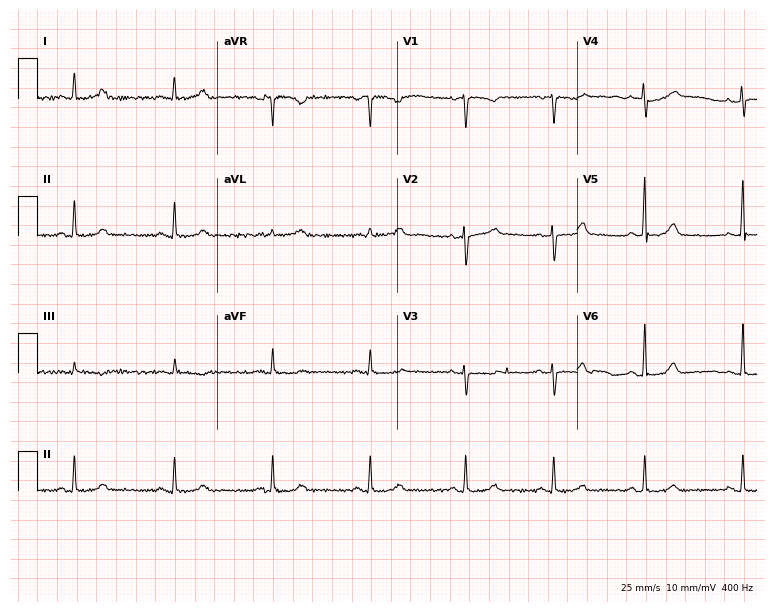
12-lead ECG from a 46-year-old female. Screened for six findings — first-degree AV block, right bundle branch block, left bundle branch block, sinus bradycardia, atrial fibrillation, sinus tachycardia — none is recorded.